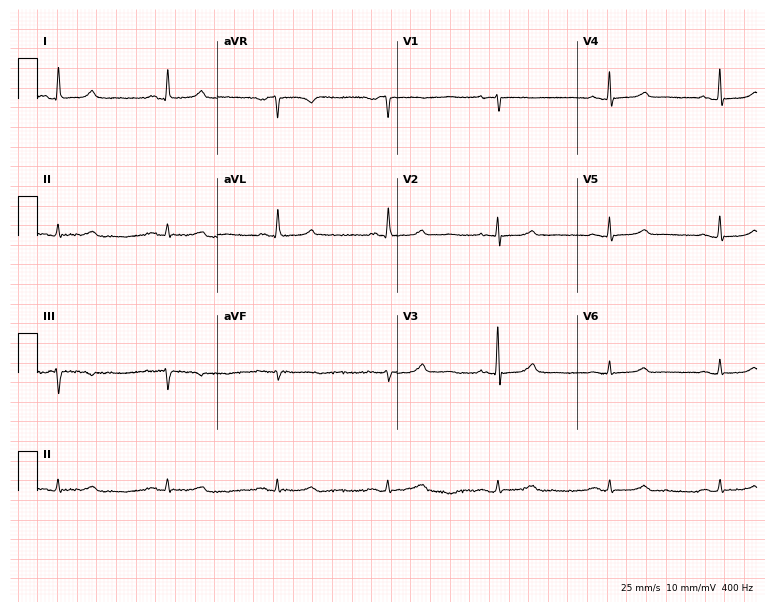
12-lead ECG from a woman, 71 years old (7.3-second recording at 400 Hz). Recorded interpretation: within normal limits.